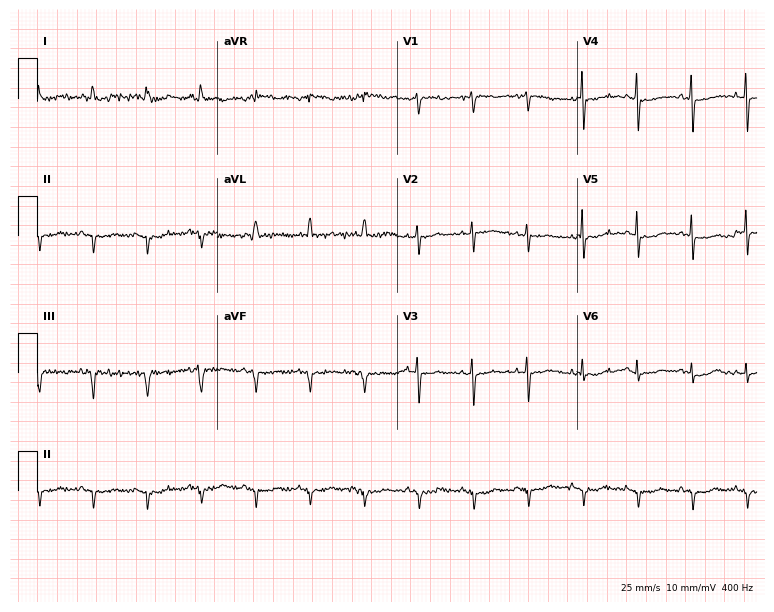
12-lead ECG from a female, 61 years old. Shows sinus tachycardia (a sinus rate of 100 beats per minute or more).